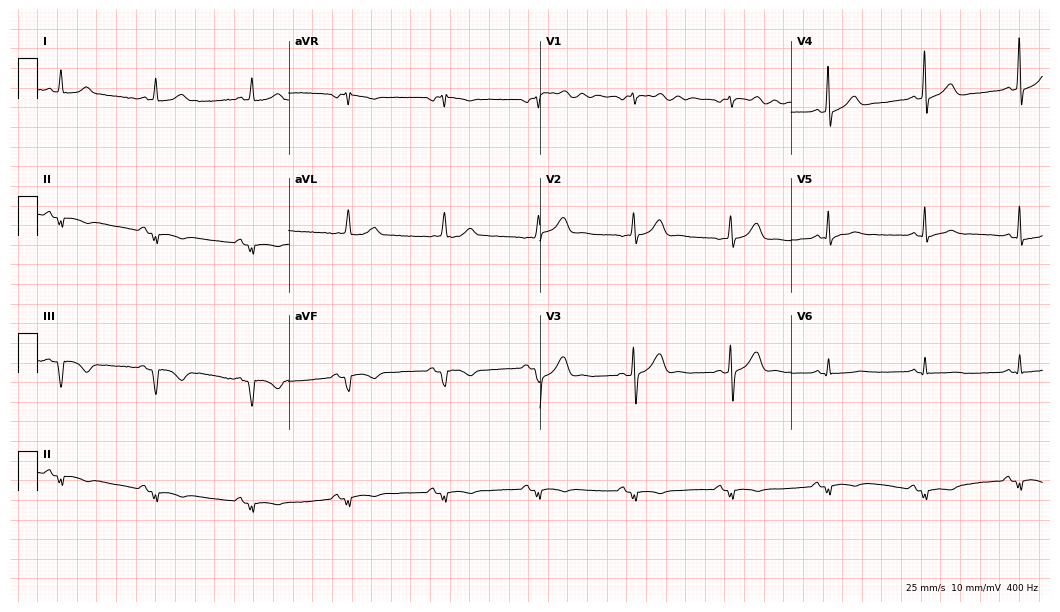
Resting 12-lead electrocardiogram (10.2-second recording at 400 Hz). Patient: a man, 62 years old. None of these six findings is recorded: first-degree AV block, right bundle branch block, left bundle branch block, sinus bradycardia, atrial fibrillation, sinus tachycardia. Findings outside these six are not listed.